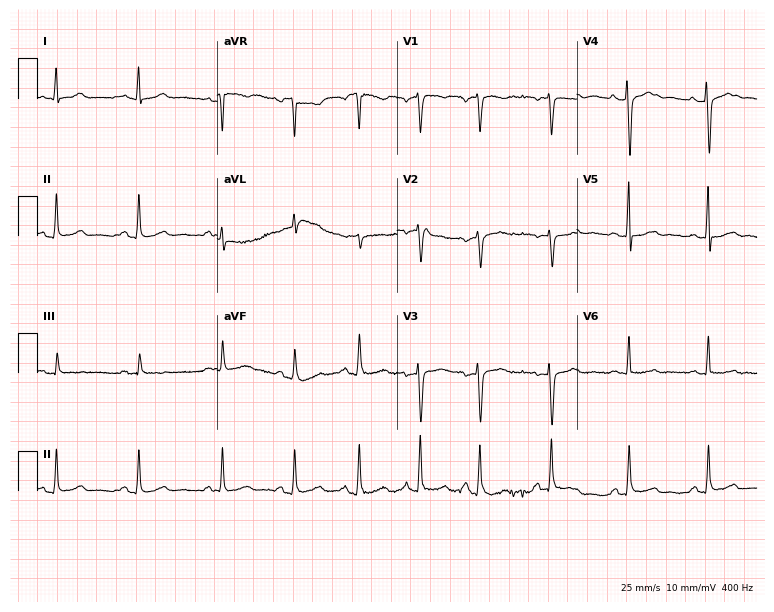
12-lead ECG from a 31-year-old female patient. Screened for six findings — first-degree AV block, right bundle branch block (RBBB), left bundle branch block (LBBB), sinus bradycardia, atrial fibrillation (AF), sinus tachycardia — none is recorded. Other findings, if any, are not listed.